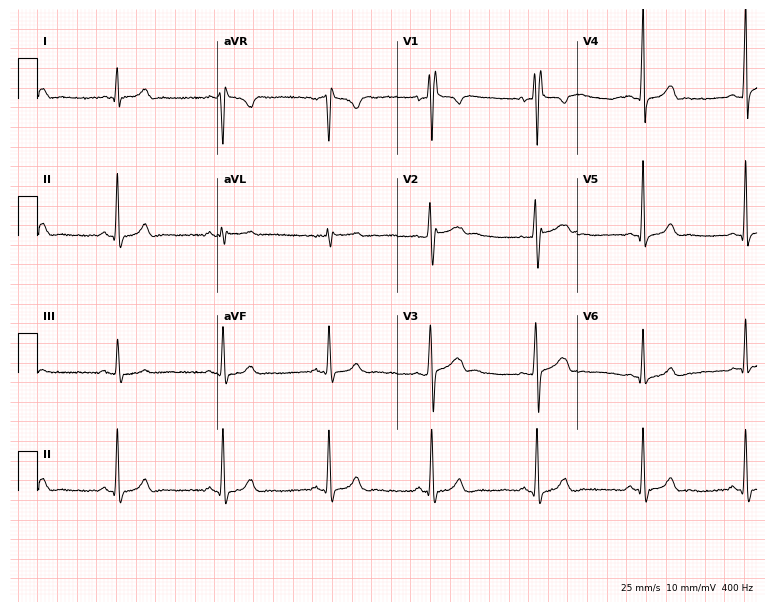
12-lead ECG from a man, 20 years old. Screened for six findings — first-degree AV block, right bundle branch block, left bundle branch block, sinus bradycardia, atrial fibrillation, sinus tachycardia — none is recorded. Findings outside these six are not listed.